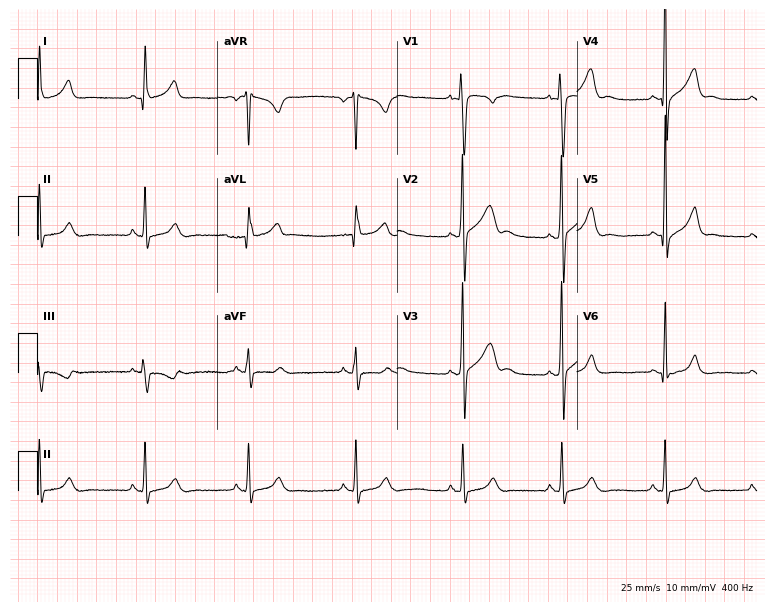
Electrocardiogram (7.3-second recording at 400 Hz), a male, 22 years old. Overall reading on record: normal ECG.